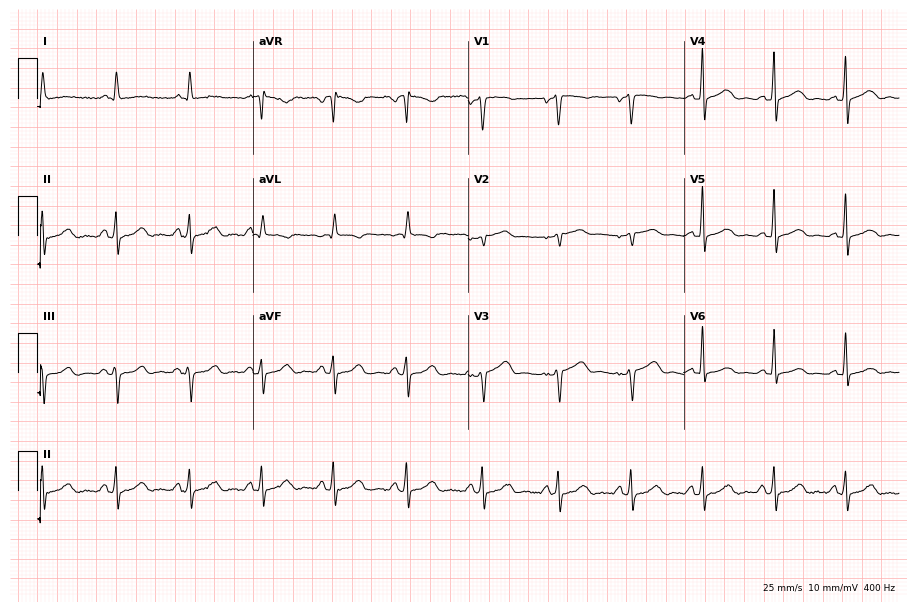
ECG (8.8-second recording at 400 Hz) — a 49-year-old woman. Labelled as a normal ECG.